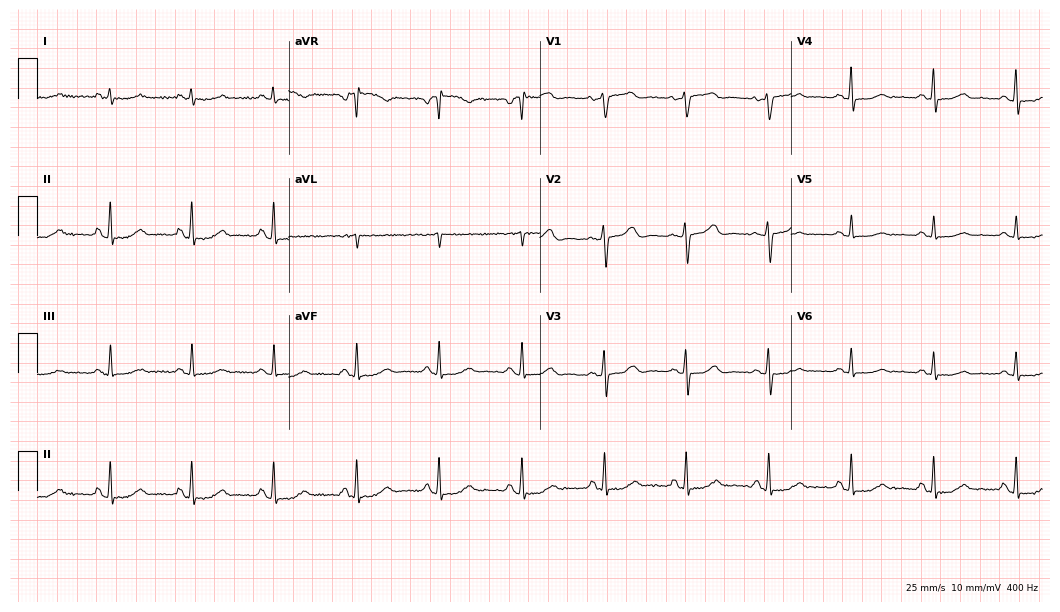
Electrocardiogram, a 75-year-old female. Of the six screened findings (first-degree AV block, right bundle branch block, left bundle branch block, sinus bradycardia, atrial fibrillation, sinus tachycardia), none is recorded.